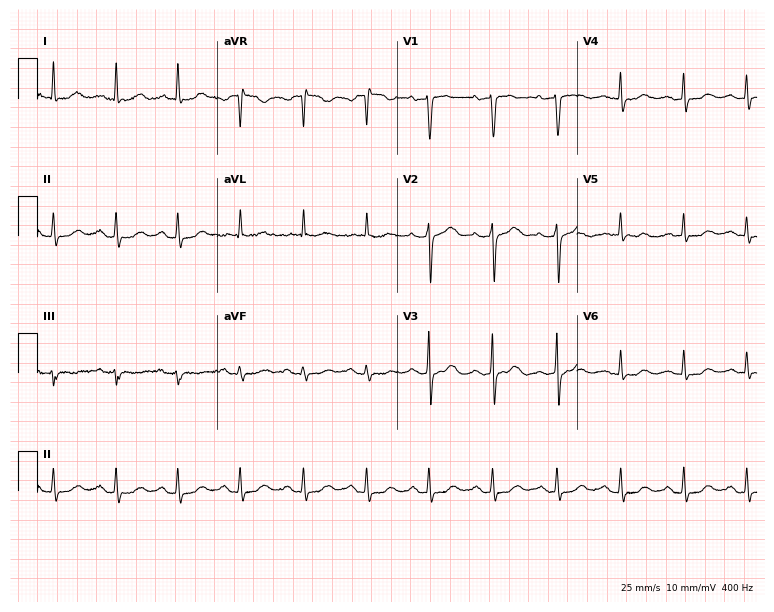
Electrocardiogram, a 70-year-old female. Overall reading on record: normal ECG.